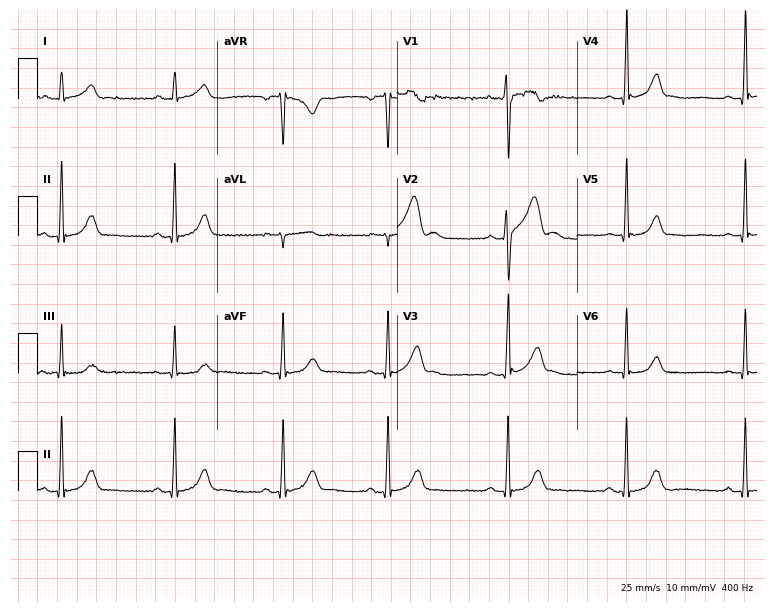
12-lead ECG from a 20-year-old male patient. Labelled as a normal ECG.